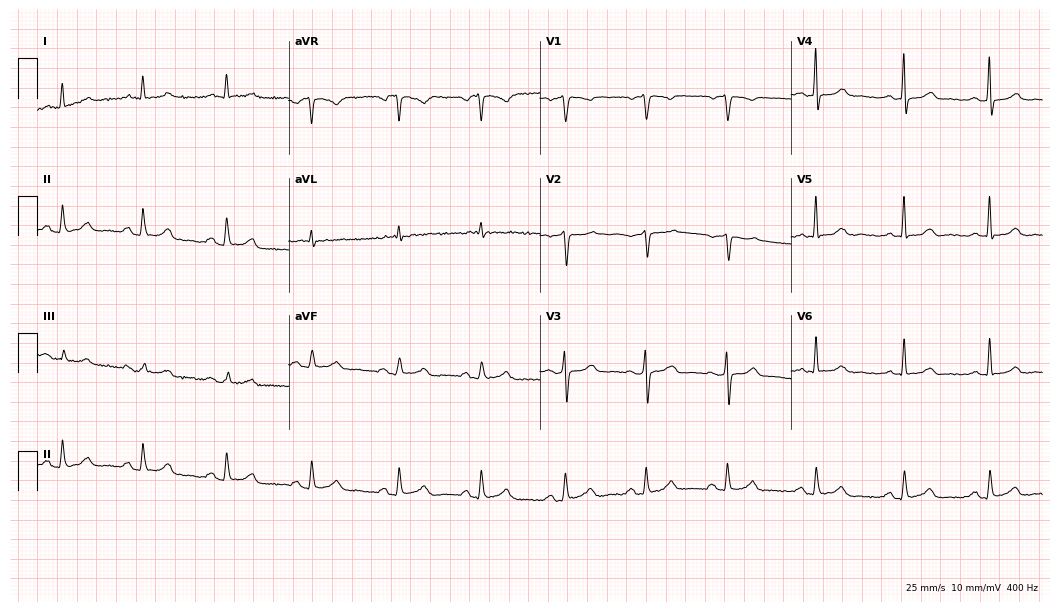
12-lead ECG (10.2-second recording at 400 Hz) from a woman, 39 years old. Labelled as a normal ECG.